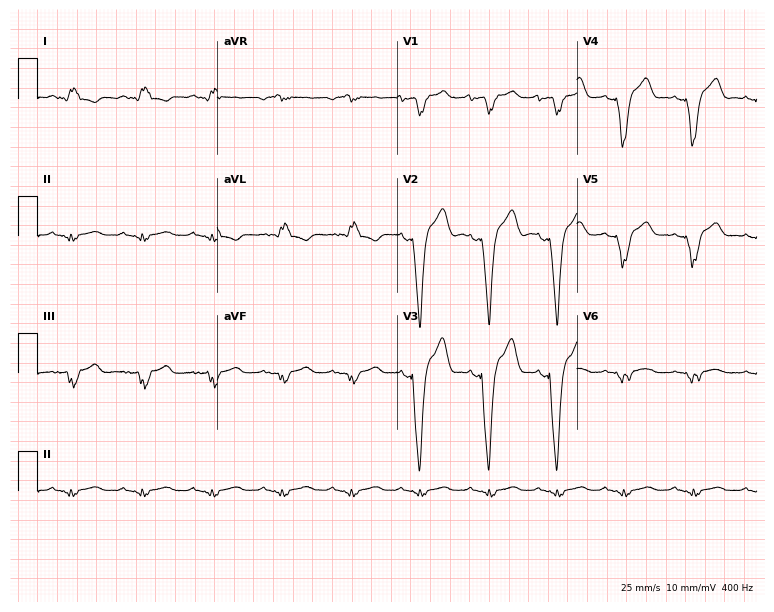
Electrocardiogram (7.3-second recording at 400 Hz), a 35-year-old female. Of the six screened findings (first-degree AV block, right bundle branch block, left bundle branch block, sinus bradycardia, atrial fibrillation, sinus tachycardia), none is recorded. Only these six findings were labelled.